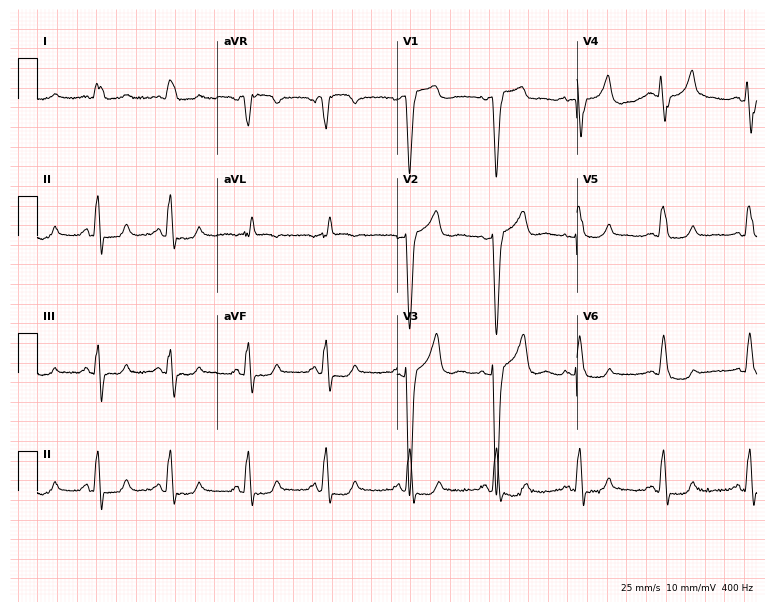
12-lead ECG (7.3-second recording at 400 Hz) from a female, 61 years old. Findings include left bundle branch block.